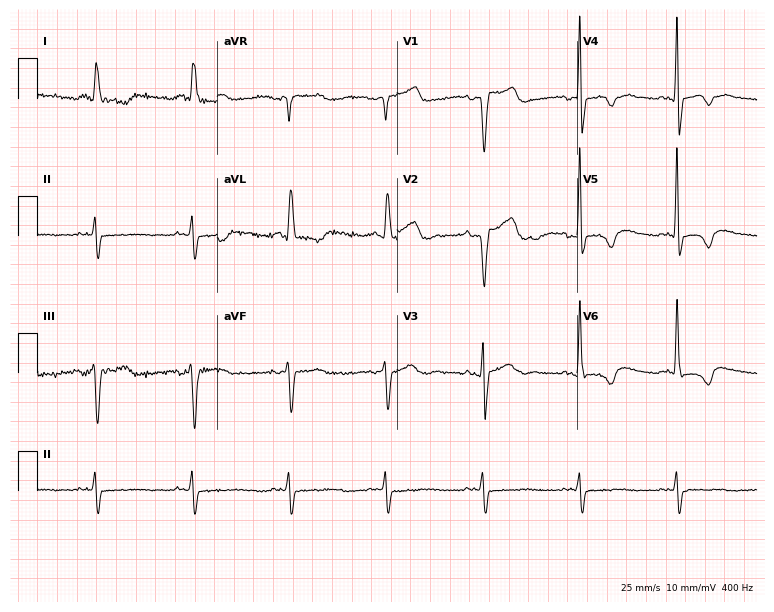
12-lead ECG (7.3-second recording at 400 Hz) from an 81-year-old male patient. Screened for six findings — first-degree AV block, right bundle branch block (RBBB), left bundle branch block (LBBB), sinus bradycardia, atrial fibrillation (AF), sinus tachycardia — none is recorded.